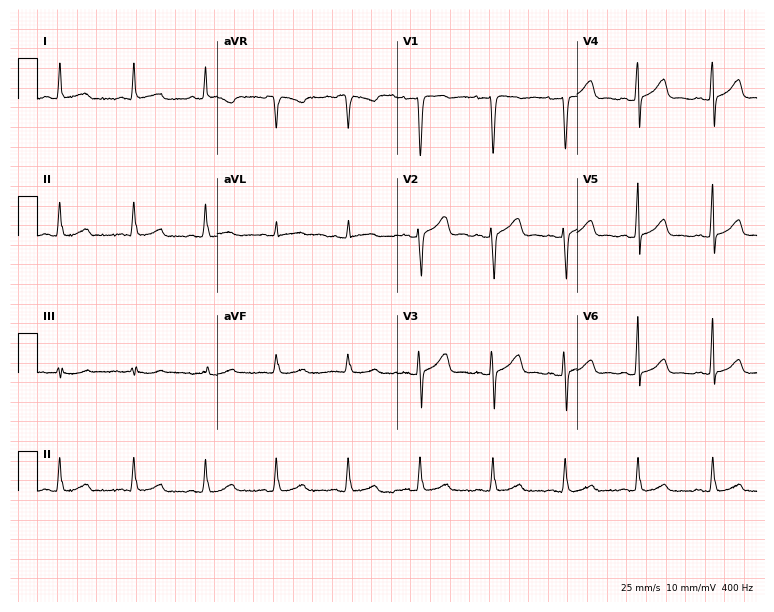
12-lead ECG from a 47-year-old female patient (7.3-second recording at 400 Hz). No first-degree AV block, right bundle branch block, left bundle branch block, sinus bradycardia, atrial fibrillation or sinus tachycardia recorded for this tracing. Only these six findings were labelled.